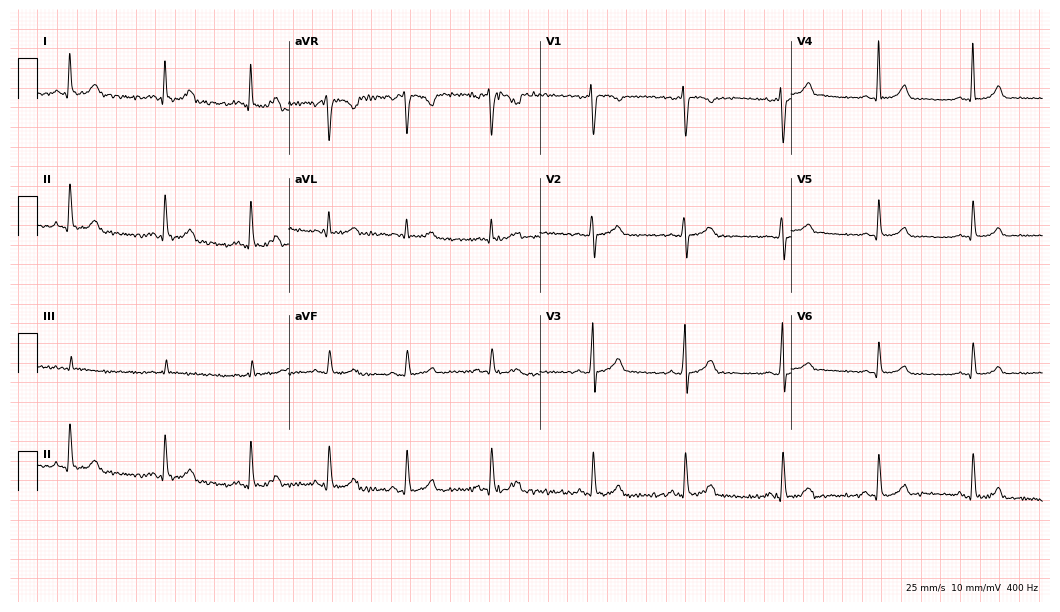
ECG (10.2-second recording at 400 Hz) — a woman, 32 years old. Screened for six findings — first-degree AV block, right bundle branch block, left bundle branch block, sinus bradycardia, atrial fibrillation, sinus tachycardia — none is recorded. Findings outside these six are not listed.